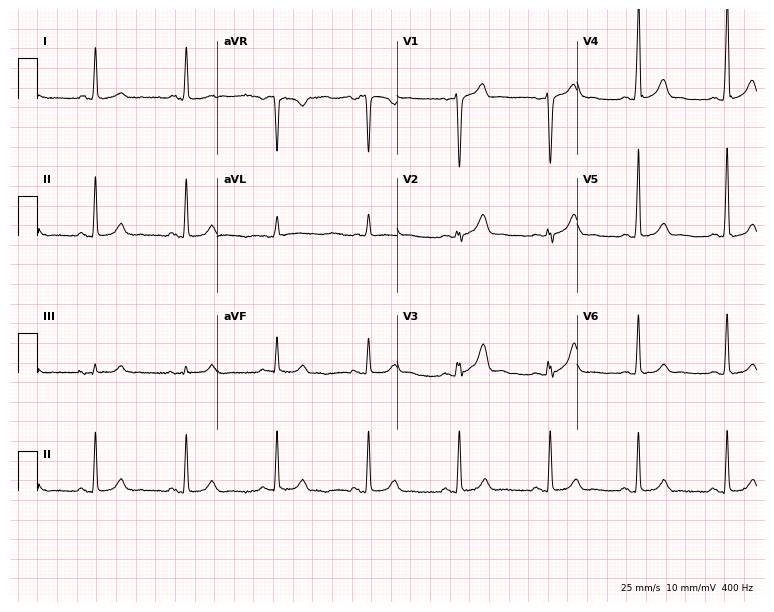
Resting 12-lead electrocardiogram. Patient: a male, 50 years old. Read as a normal ECG.